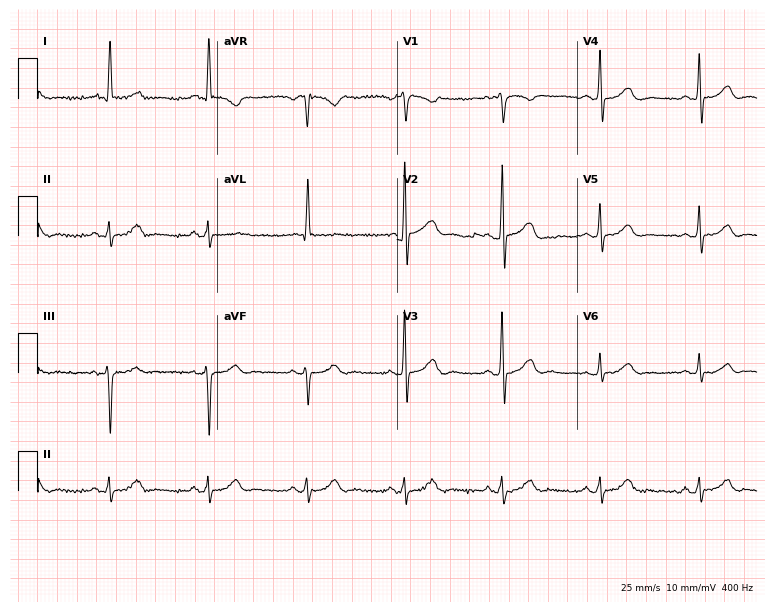
Resting 12-lead electrocardiogram (7.3-second recording at 400 Hz). Patient: a male, 80 years old. Read as a normal ECG.